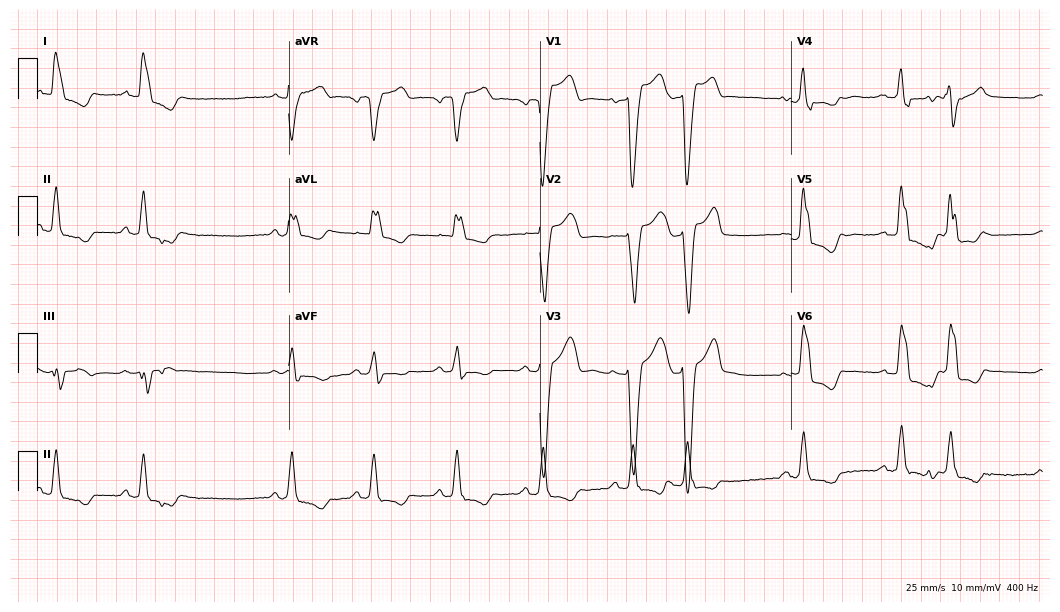
Resting 12-lead electrocardiogram (10.2-second recording at 400 Hz). Patient: a 65-year-old female. The tracing shows left bundle branch block.